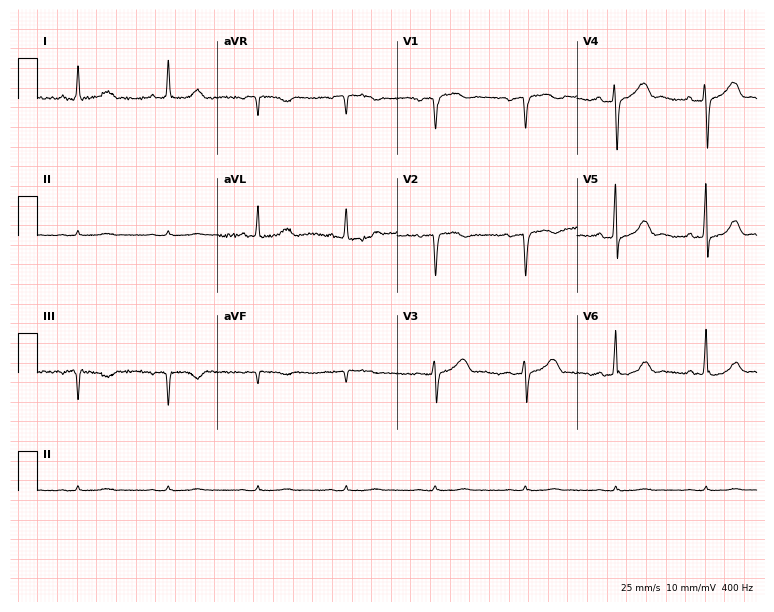
Electrocardiogram, a 49-year-old woman. Of the six screened findings (first-degree AV block, right bundle branch block (RBBB), left bundle branch block (LBBB), sinus bradycardia, atrial fibrillation (AF), sinus tachycardia), none is recorded.